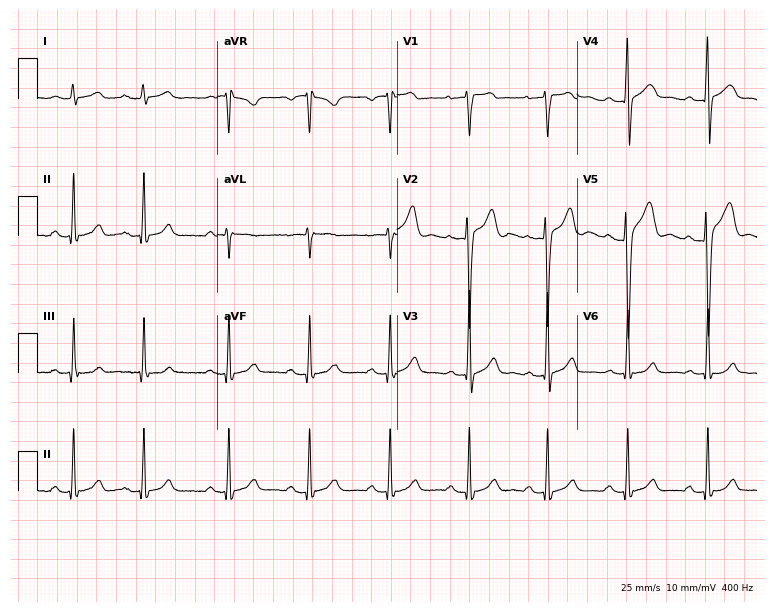
ECG — a male patient, 37 years old. Labelled as a normal ECG.